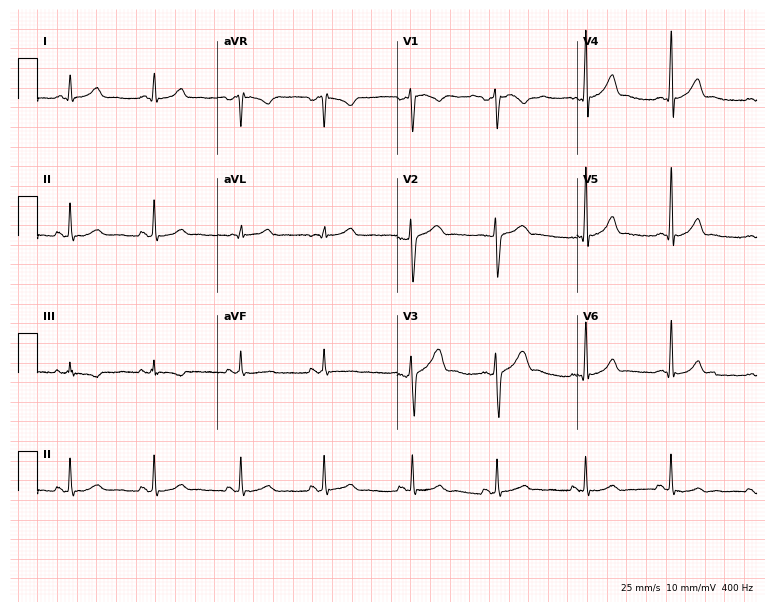
Standard 12-lead ECG recorded from a male patient, 25 years old. Read as a normal ECG.